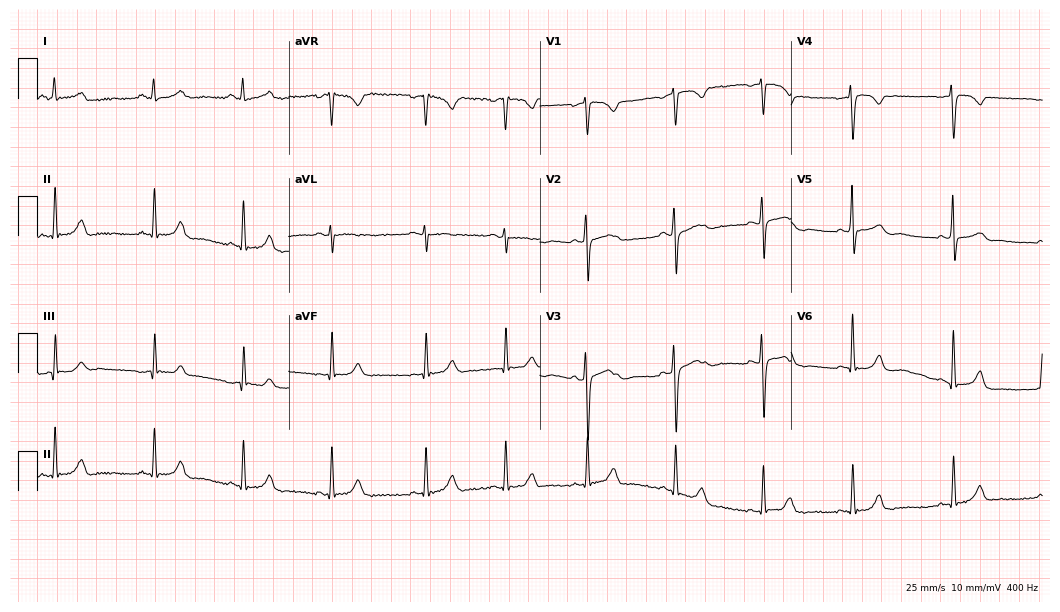
12-lead ECG from a female patient, 31 years old. Recorded interpretation: within normal limits.